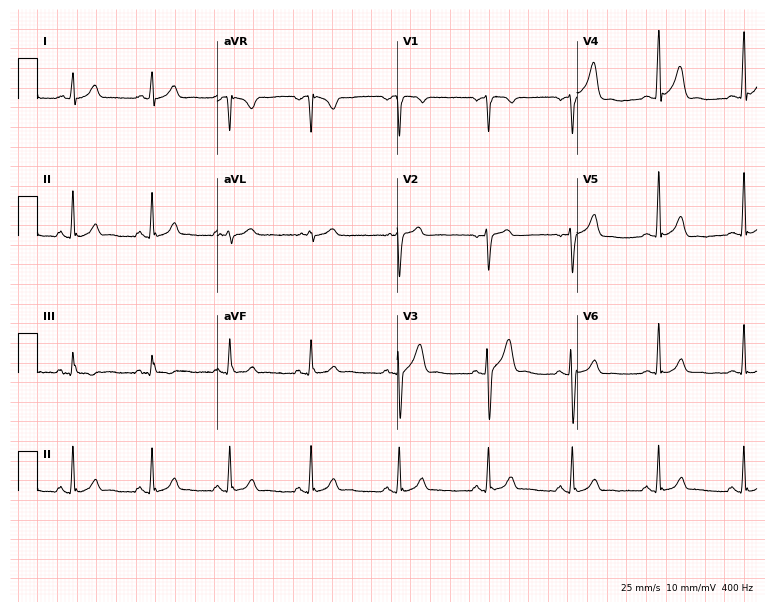
Standard 12-lead ECG recorded from a 24-year-old male patient (7.3-second recording at 400 Hz). Read as a normal ECG.